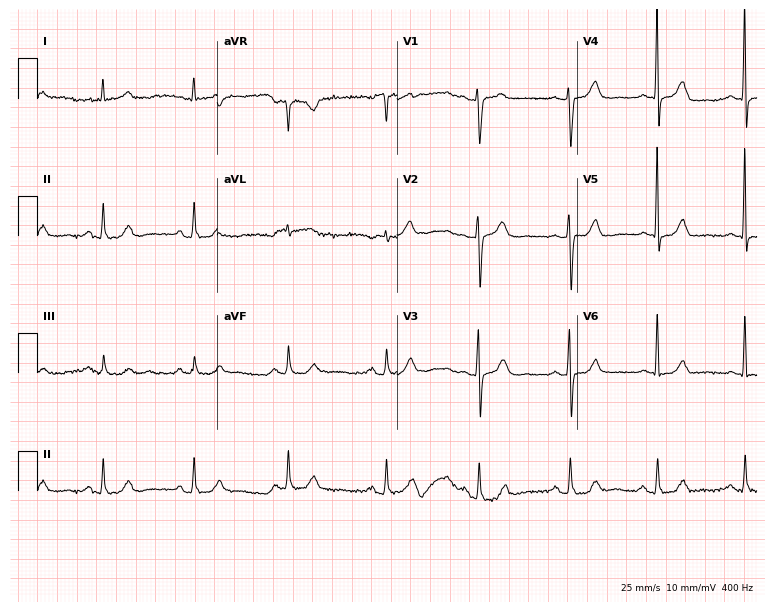
Standard 12-lead ECG recorded from a man, 63 years old. Read as a normal ECG.